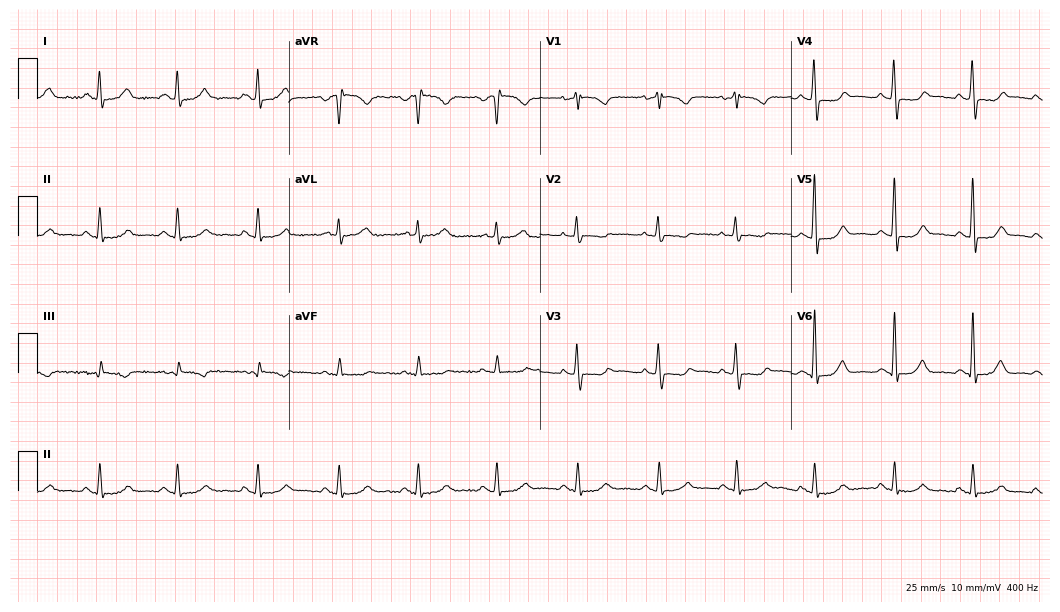
Standard 12-lead ECG recorded from a female, 47 years old (10.2-second recording at 400 Hz). Read as a normal ECG.